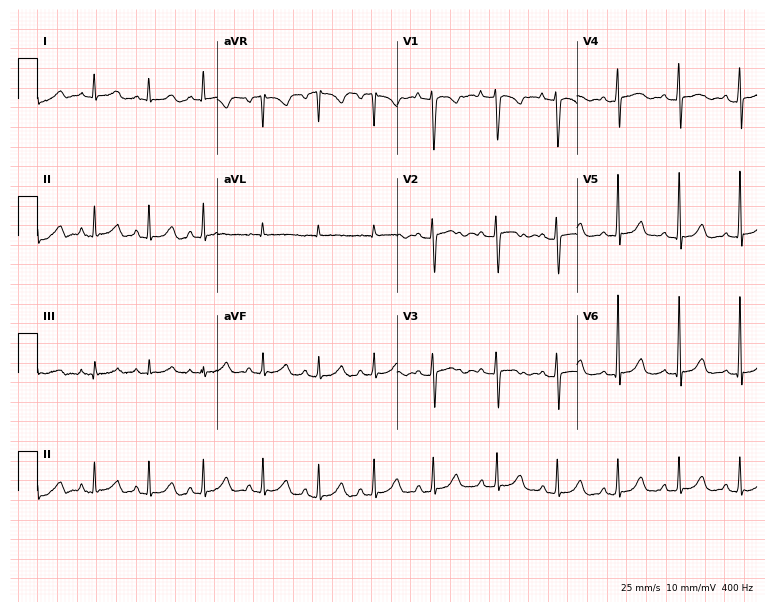
12-lead ECG from an 80-year-old female patient. Shows sinus tachycardia (a sinus rate of 100 beats per minute or more).